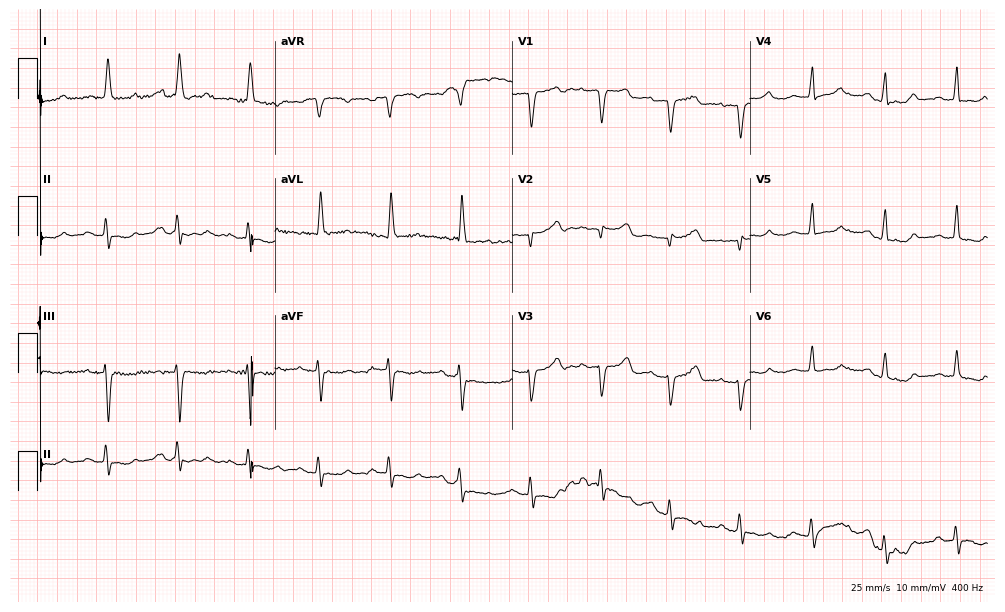
12-lead ECG from a 73-year-old female. Screened for six findings — first-degree AV block, right bundle branch block (RBBB), left bundle branch block (LBBB), sinus bradycardia, atrial fibrillation (AF), sinus tachycardia — none is recorded. Only these six findings were labelled.